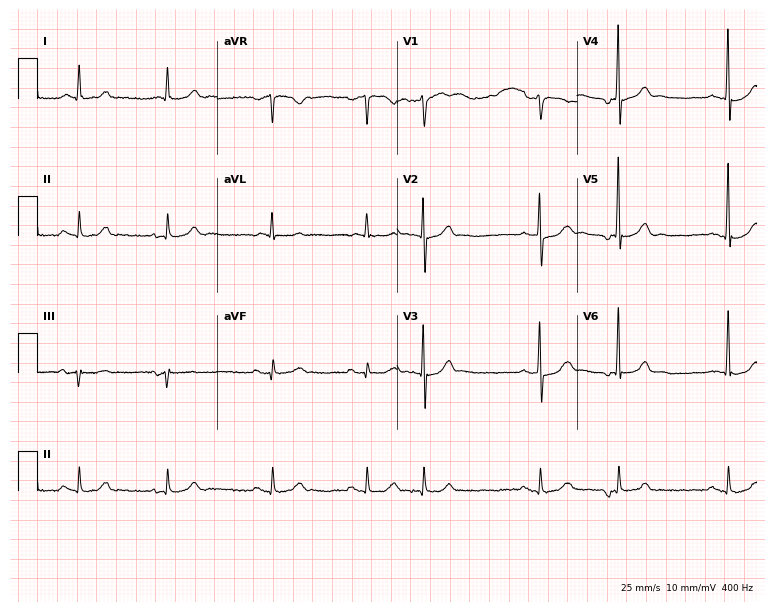
12-lead ECG from a 76-year-old man. Labelled as a normal ECG.